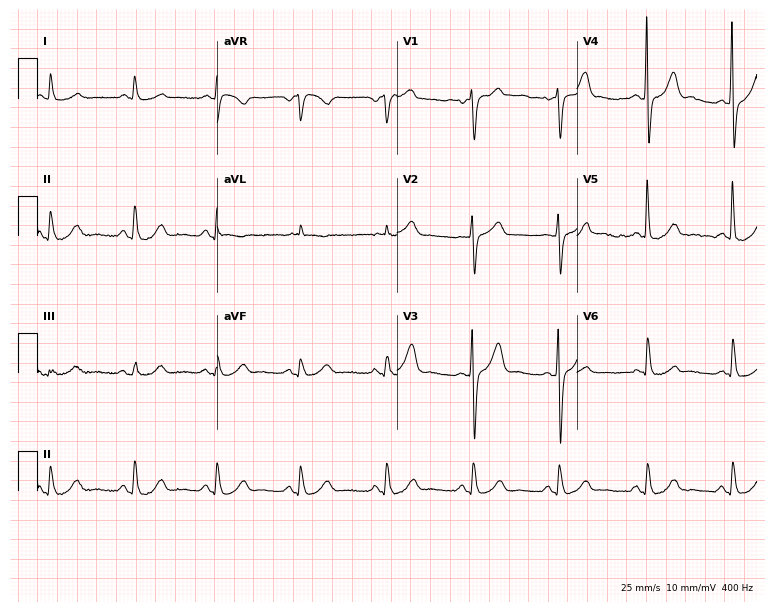
12-lead ECG from a male, 71 years old (7.3-second recording at 400 Hz). Recorded interpretation: within normal limits.